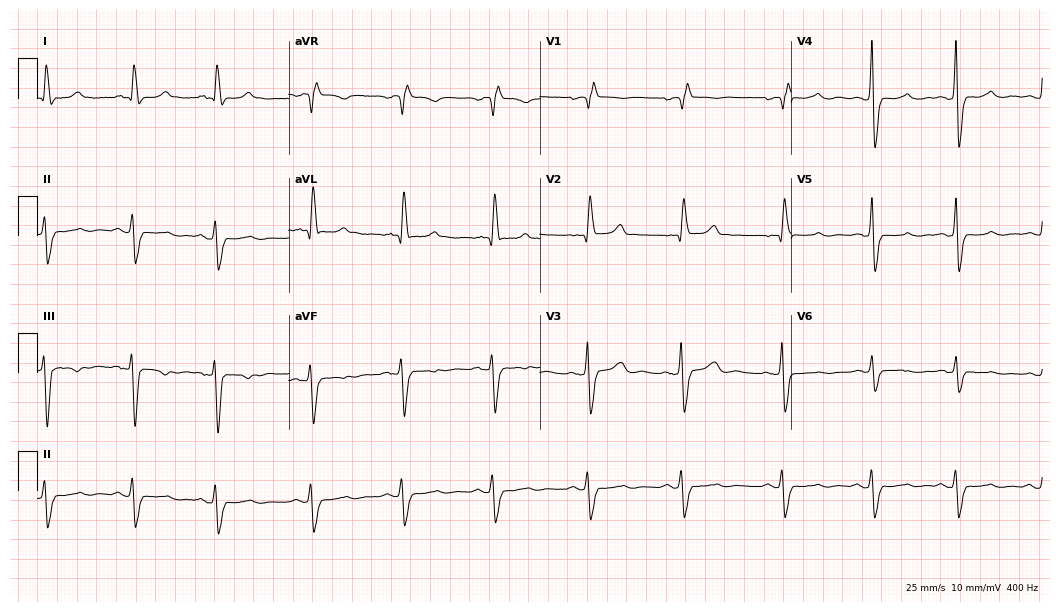
Electrocardiogram, a female patient, 62 years old. Interpretation includes right bundle branch block (RBBB).